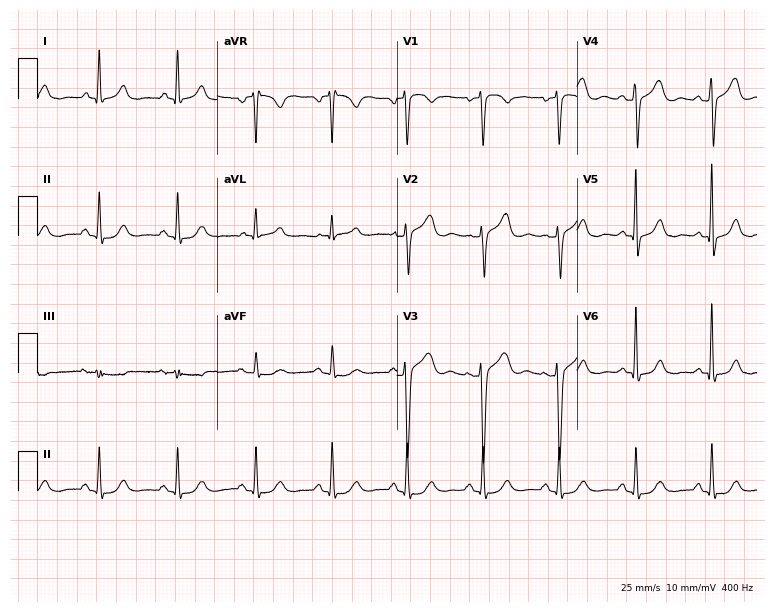
ECG (7.3-second recording at 400 Hz) — a 54-year-old female patient. Screened for six findings — first-degree AV block, right bundle branch block, left bundle branch block, sinus bradycardia, atrial fibrillation, sinus tachycardia — none is recorded. Only these six findings were labelled.